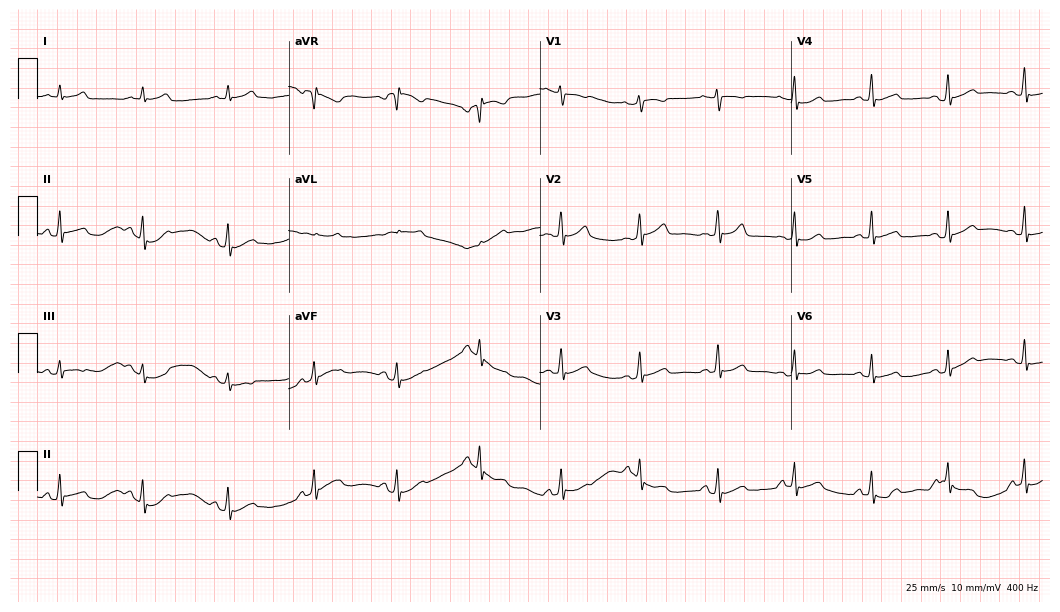
12-lead ECG (10.2-second recording at 400 Hz) from a female patient, 38 years old. Labelled as a normal ECG.